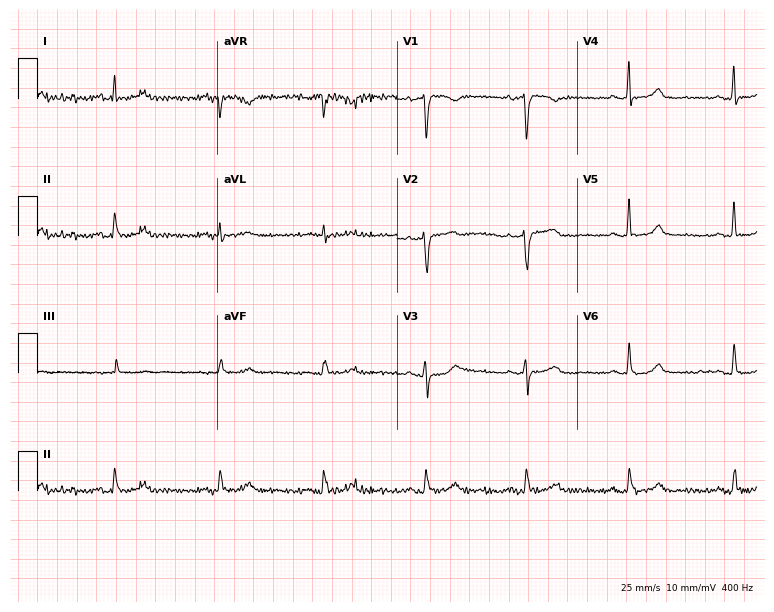
12-lead ECG from a female patient, 70 years old. Labelled as a normal ECG.